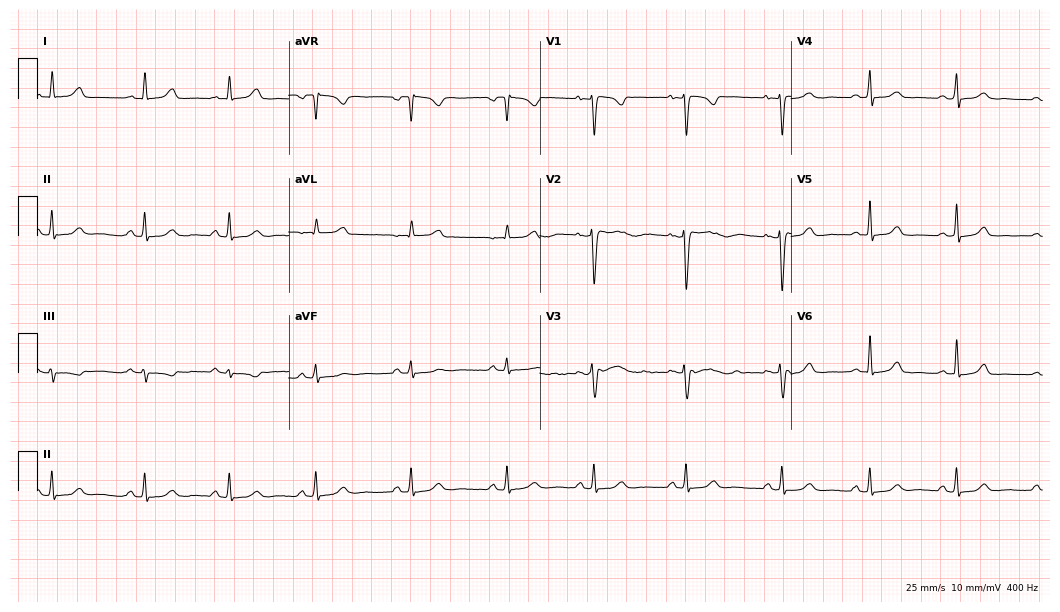
ECG (10.2-second recording at 400 Hz) — a 25-year-old female. Labelled as a normal ECG.